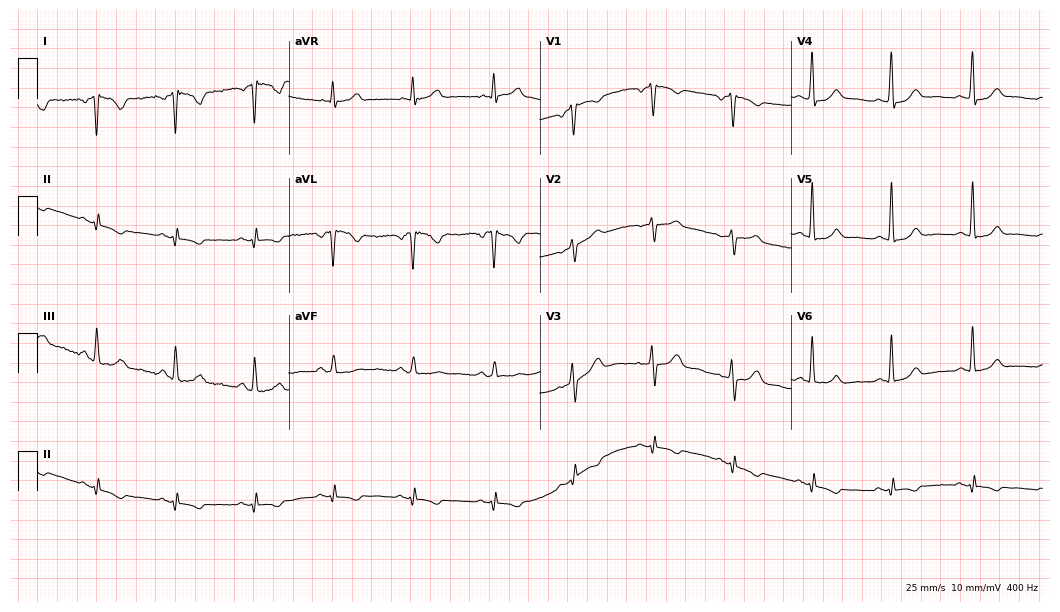
12-lead ECG from a woman, 56 years old (10.2-second recording at 400 Hz). No first-degree AV block, right bundle branch block, left bundle branch block, sinus bradycardia, atrial fibrillation or sinus tachycardia recorded for this tracing. Only these six findings were labelled.